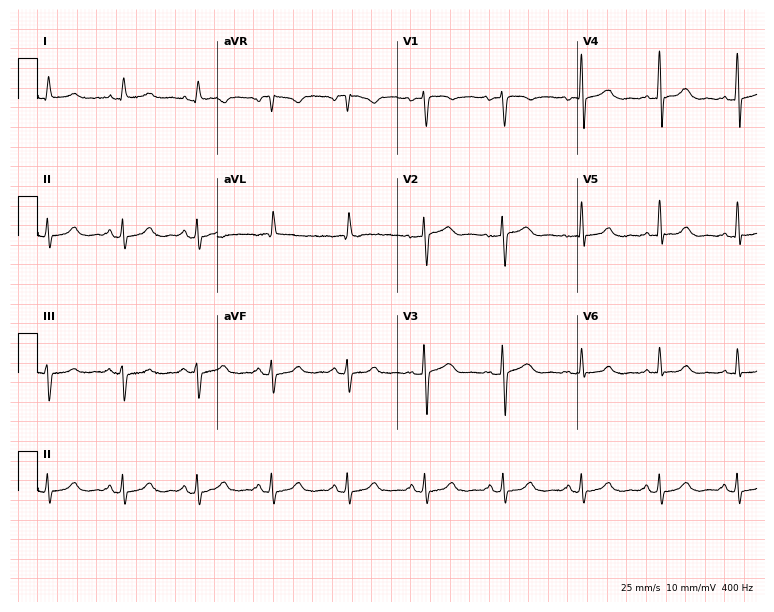
12-lead ECG from a female patient, 58 years old. Recorded interpretation: within normal limits.